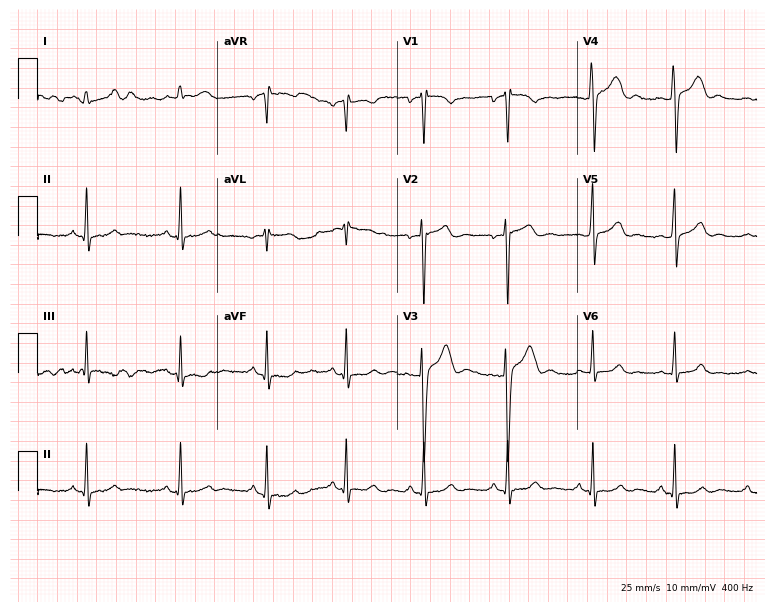
Standard 12-lead ECG recorded from a 29-year-old male (7.3-second recording at 400 Hz). None of these six findings is recorded: first-degree AV block, right bundle branch block, left bundle branch block, sinus bradycardia, atrial fibrillation, sinus tachycardia.